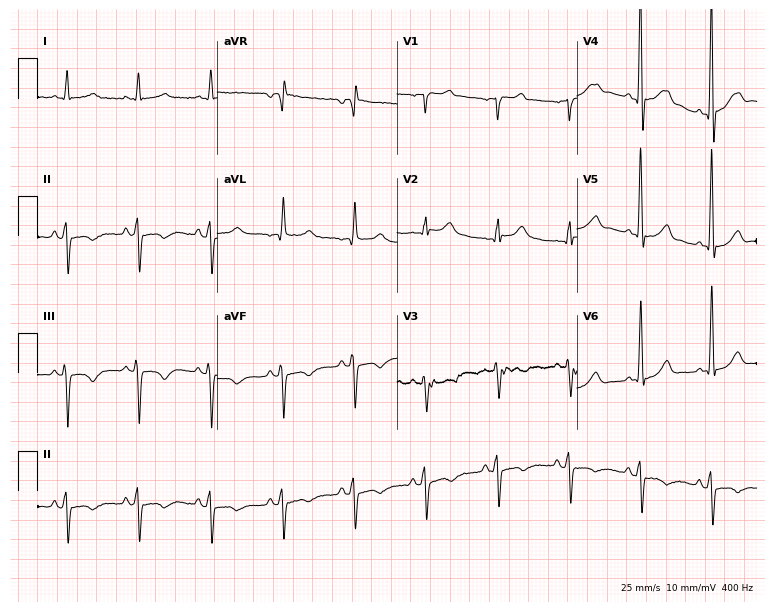
Resting 12-lead electrocardiogram (7.3-second recording at 400 Hz). Patient: a 72-year-old male. None of these six findings is recorded: first-degree AV block, right bundle branch block (RBBB), left bundle branch block (LBBB), sinus bradycardia, atrial fibrillation (AF), sinus tachycardia.